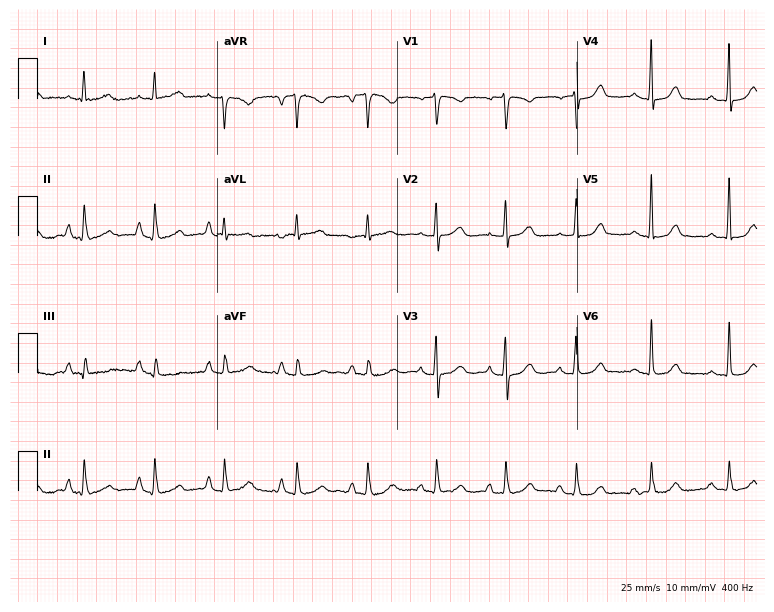
Standard 12-lead ECG recorded from a female, 66 years old (7.3-second recording at 400 Hz). Read as a normal ECG.